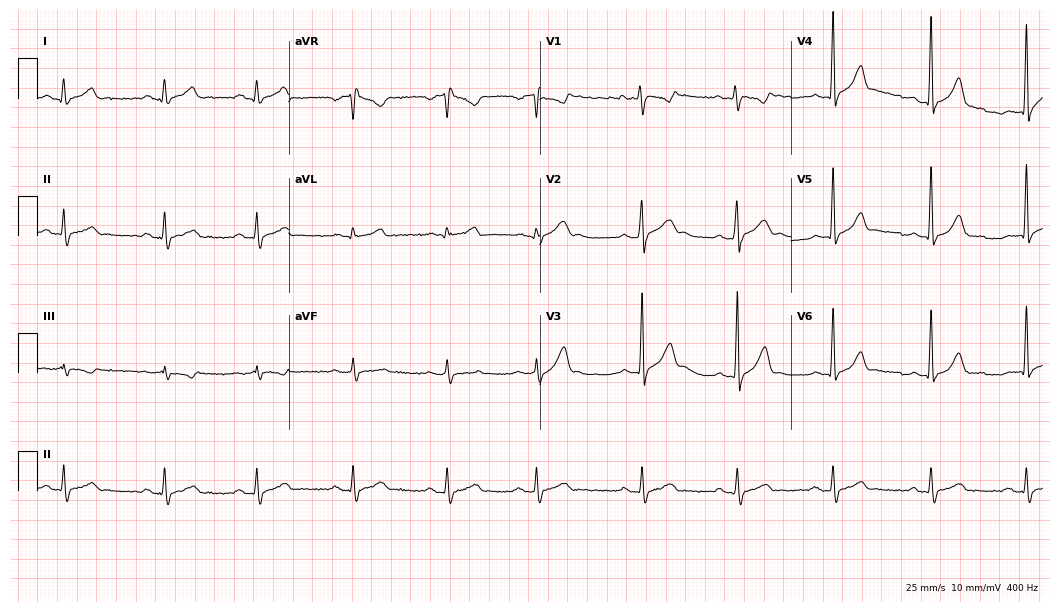
12-lead ECG (10.2-second recording at 400 Hz) from a male patient, 18 years old. Screened for six findings — first-degree AV block, right bundle branch block, left bundle branch block, sinus bradycardia, atrial fibrillation, sinus tachycardia — none is recorded. Other findings, if any, are not listed.